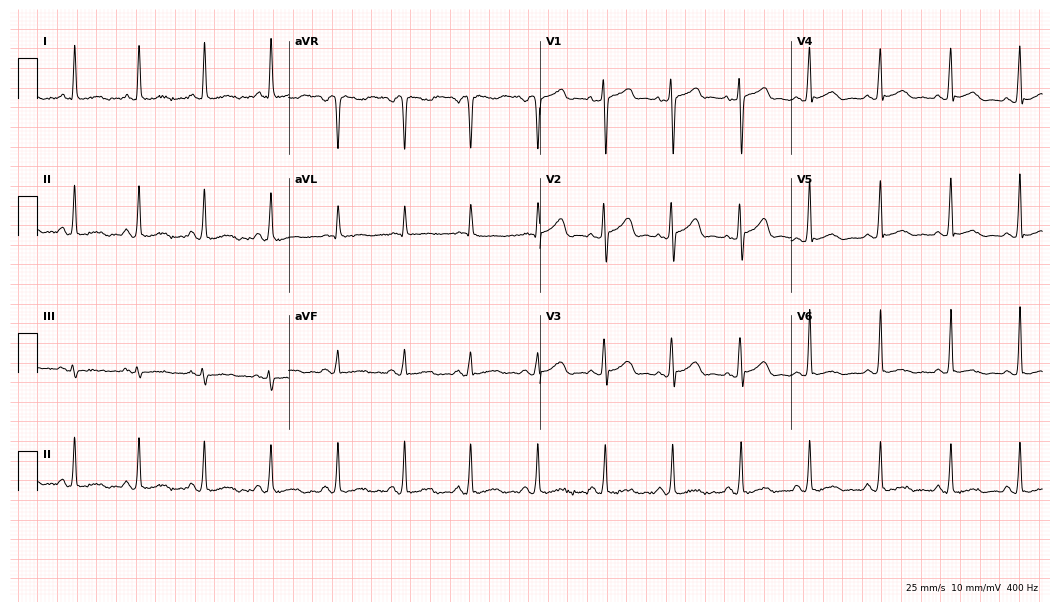
12-lead ECG from a female, 48 years old. Screened for six findings — first-degree AV block, right bundle branch block, left bundle branch block, sinus bradycardia, atrial fibrillation, sinus tachycardia — none is recorded. Other findings, if any, are not listed.